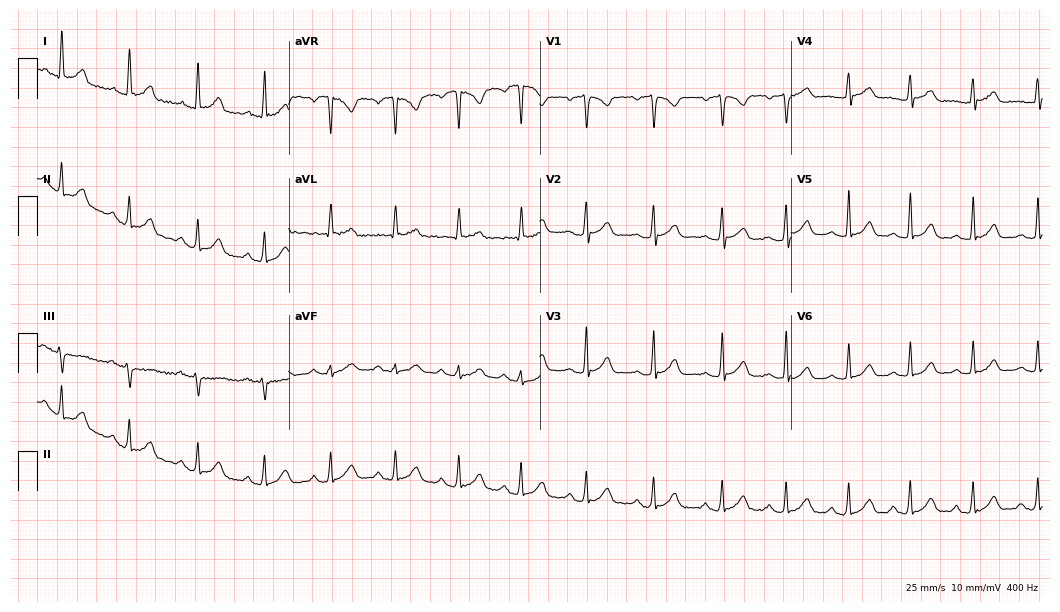
Standard 12-lead ECG recorded from a female patient, 42 years old (10.2-second recording at 400 Hz). Read as a normal ECG.